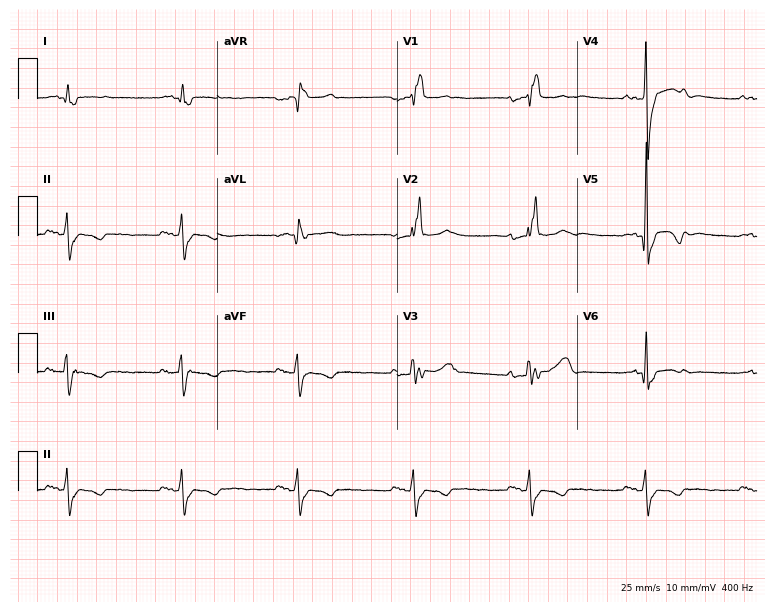
12-lead ECG from a man, 72 years old (7.3-second recording at 400 Hz). Shows right bundle branch block.